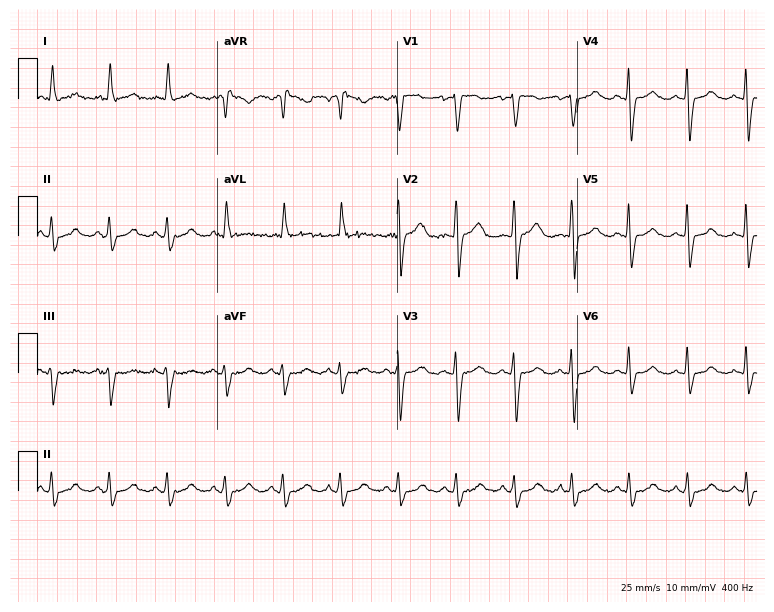
ECG (7.3-second recording at 400 Hz) — a 64-year-old woman. Labelled as a normal ECG.